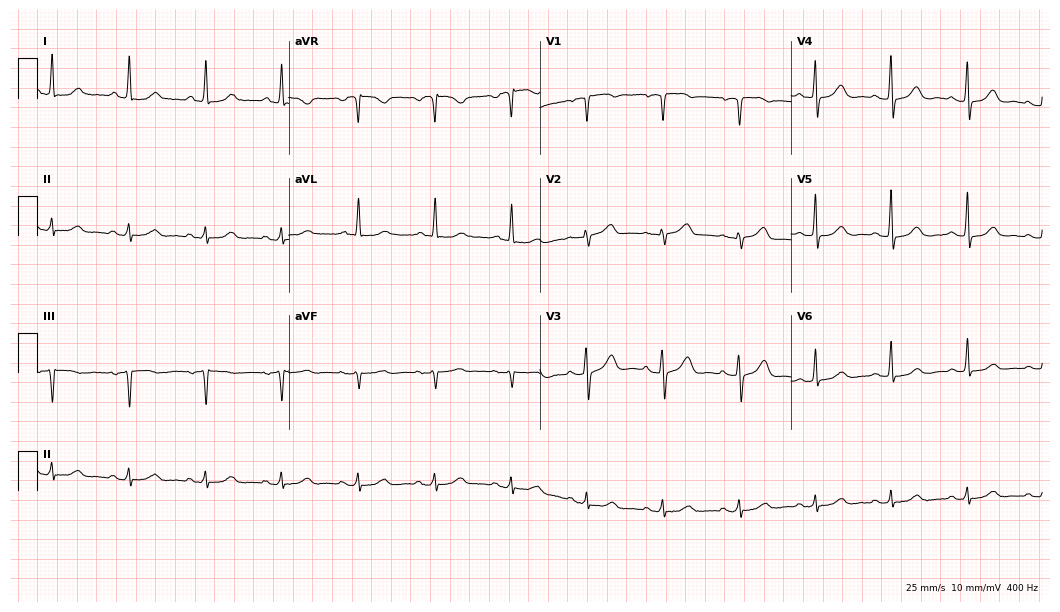
Resting 12-lead electrocardiogram. Patient: a woman, 73 years old. Read as a normal ECG.